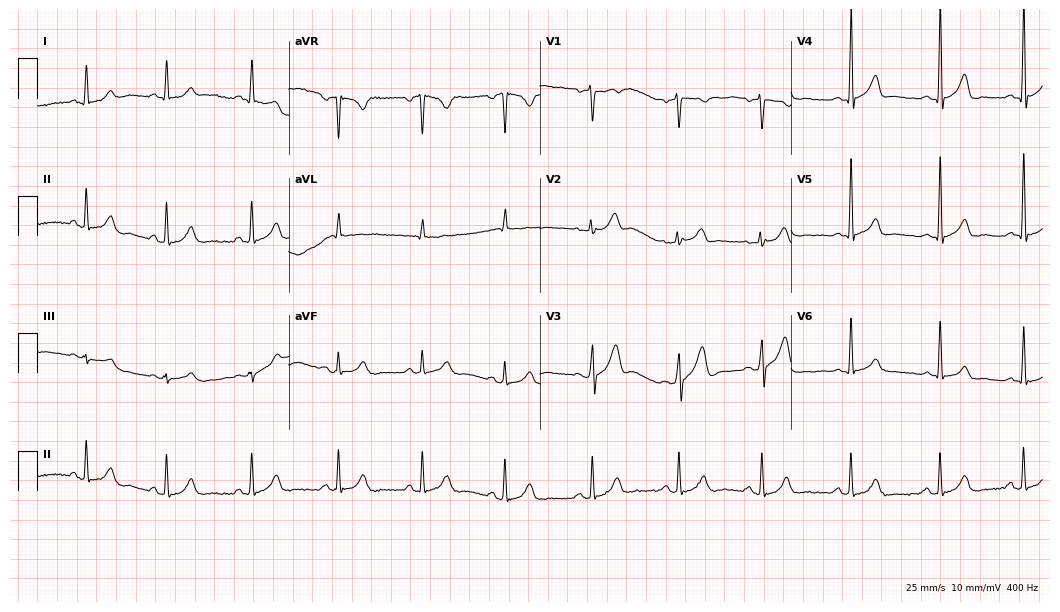
ECG — a man, 47 years old. Labelled as a normal ECG.